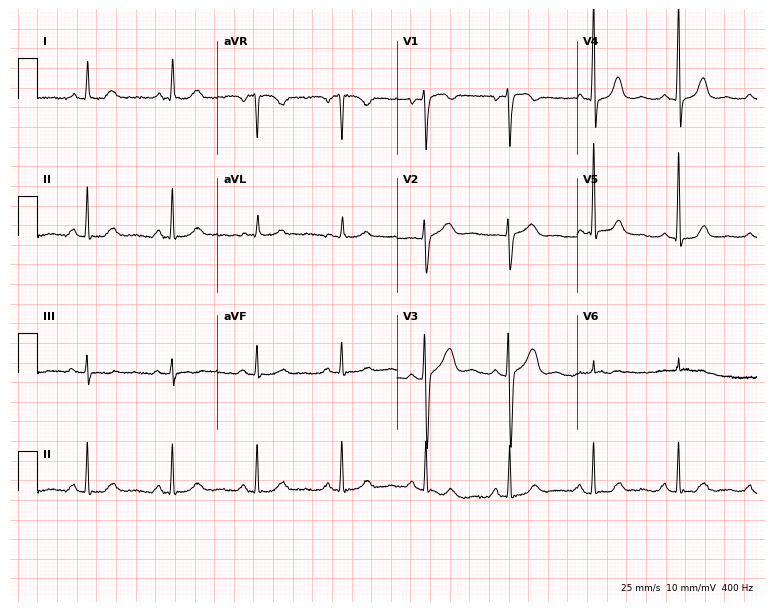
12-lead ECG from a female patient, 49 years old. Screened for six findings — first-degree AV block, right bundle branch block (RBBB), left bundle branch block (LBBB), sinus bradycardia, atrial fibrillation (AF), sinus tachycardia — none is recorded.